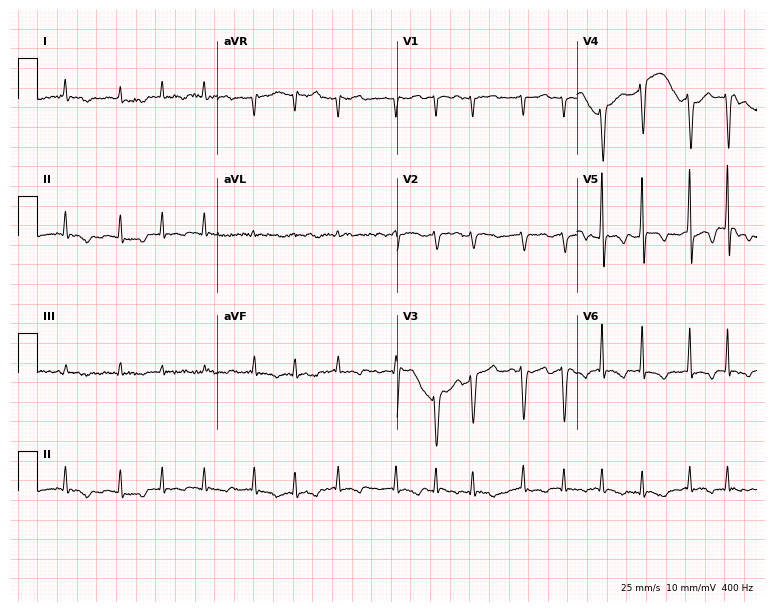
Electrocardiogram (7.3-second recording at 400 Hz), a woman, 60 years old. Interpretation includes atrial fibrillation.